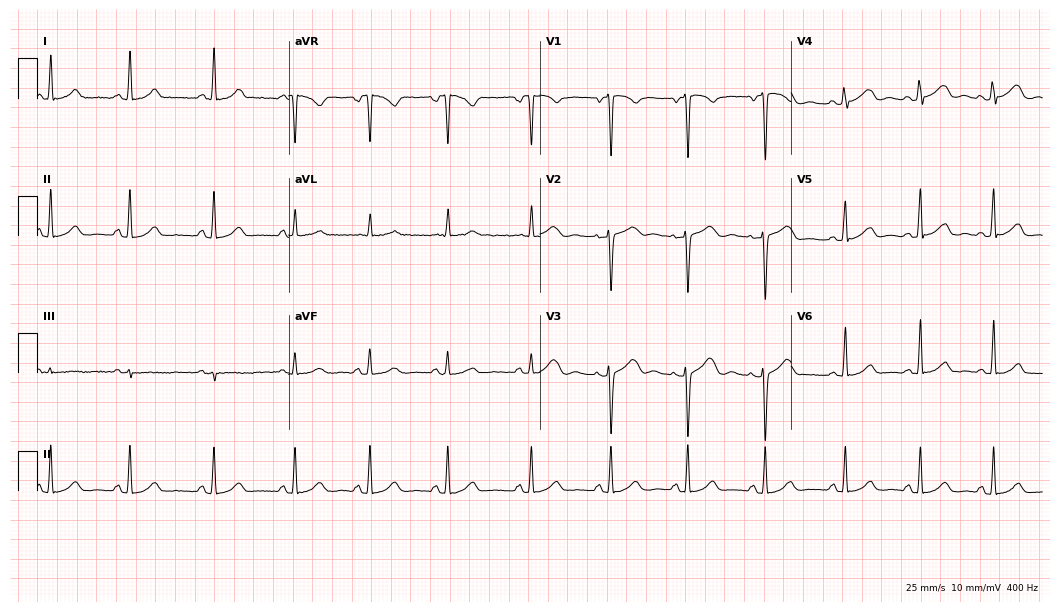
Resting 12-lead electrocardiogram (10.2-second recording at 400 Hz). Patient: a female, 23 years old. Read as a normal ECG.